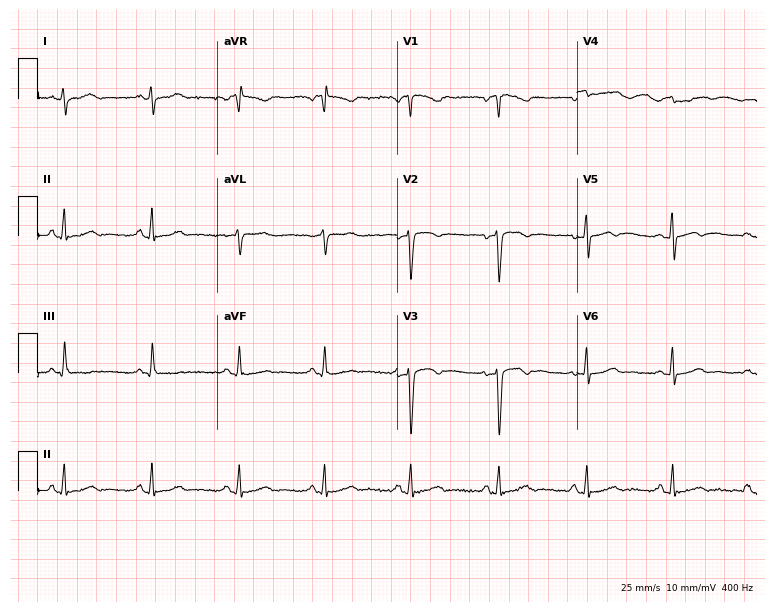
Electrocardiogram, a 32-year-old female. Of the six screened findings (first-degree AV block, right bundle branch block (RBBB), left bundle branch block (LBBB), sinus bradycardia, atrial fibrillation (AF), sinus tachycardia), none is recorded. Findings outside these six are not listed.